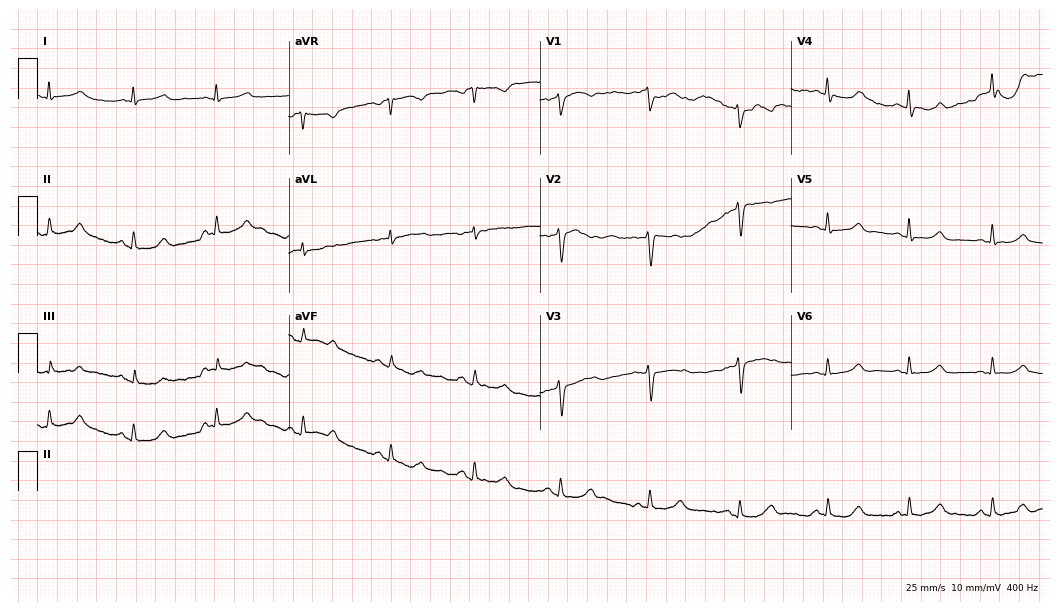
12-lead ECG from a 42-year-old woman. No first-degree AV block, right bundle branch block, left bundle branch block, sinus bradycardia, atrial fibrillation or sinus tachycardia recorded for this tracing. Findings outside these six are not listed.